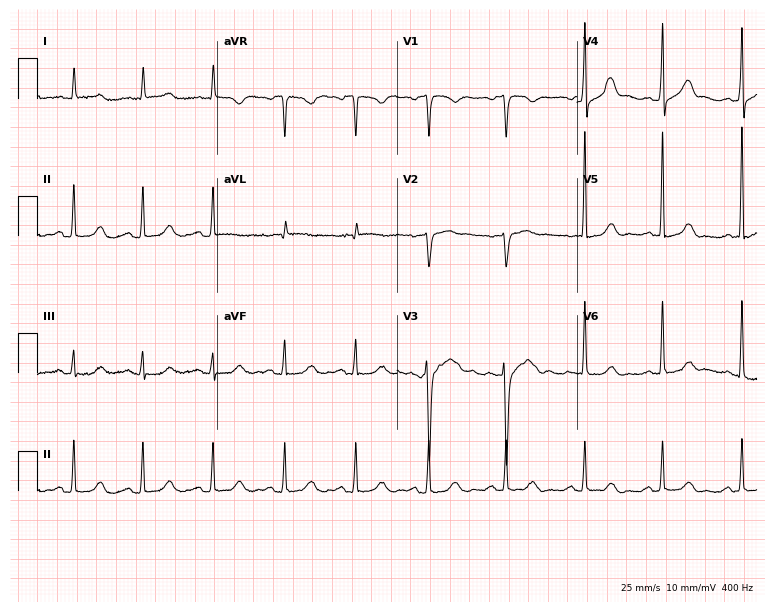
Resting 12-lead electrocardiogram (7.3-second recording at 400 Hz). Patient: a woman, 65 years old. Read as a normal ECG.